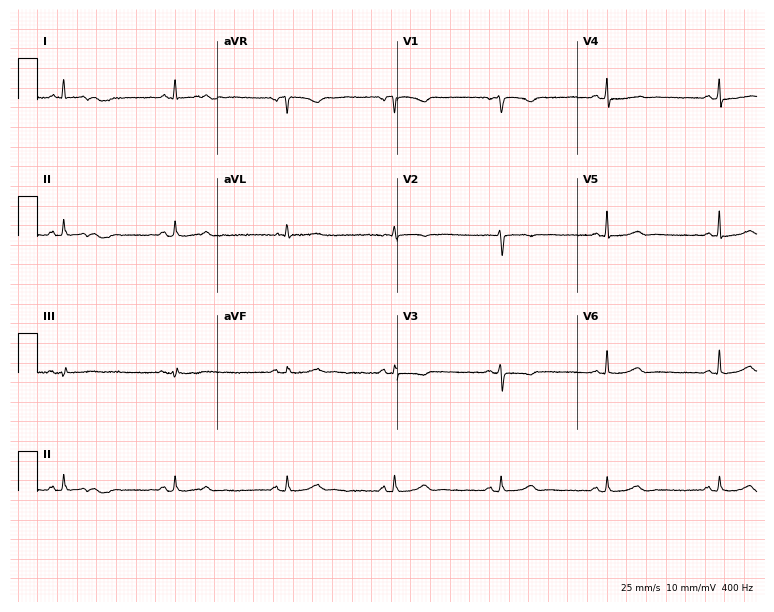
12-lead ECG (7.3-second recording at 400 Hz) from a 59-year-old woman. Screened for six findings — first-degree AV block, right bundle branch block, left bundle branch block, sinus bradycardia, atrial fibrillation, sinus tachycardia — none is recorded. Findings outside these six are not listed.